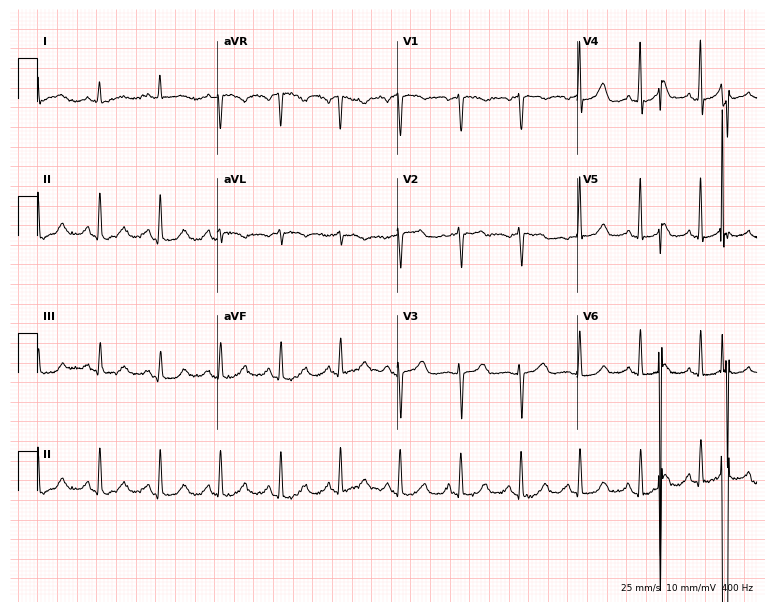
ECG (7.3-second recording at 400 Hz) — a female, 84 years old. Labelled as a normal ECG.